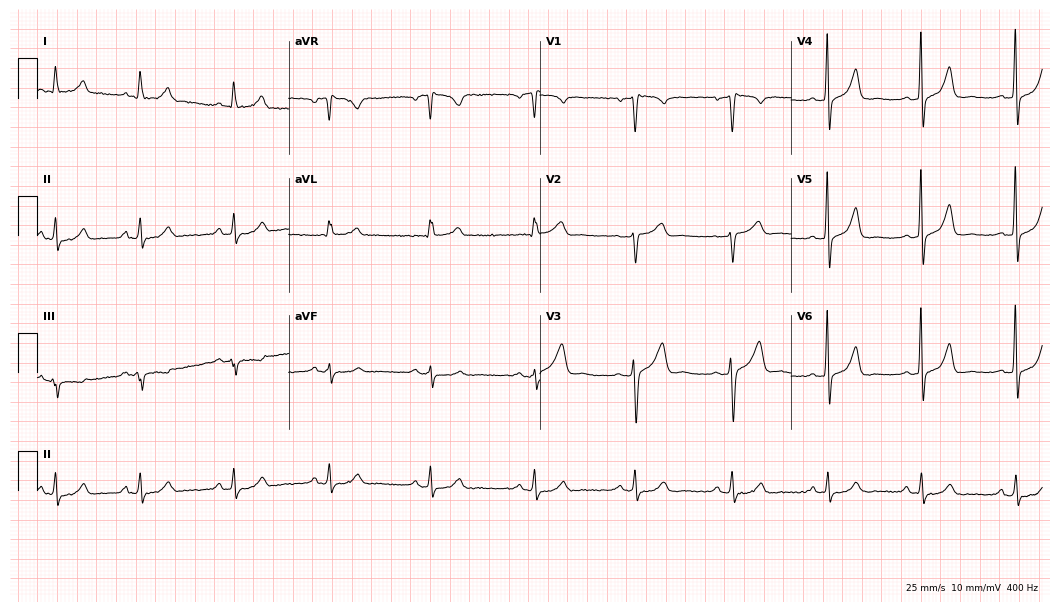
Electrocardiogram, a male patient, 54 years old. Overall reading on record: normal ECG.